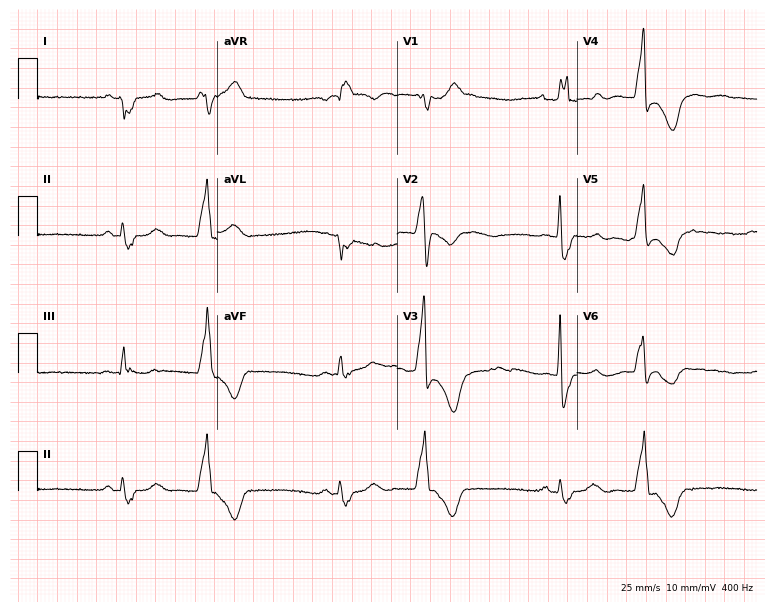
Standard 12-lead ECG recorded from a man, 70 years old (7.3-second recording at 400 Hz). The tracing shows right bundle branch block.